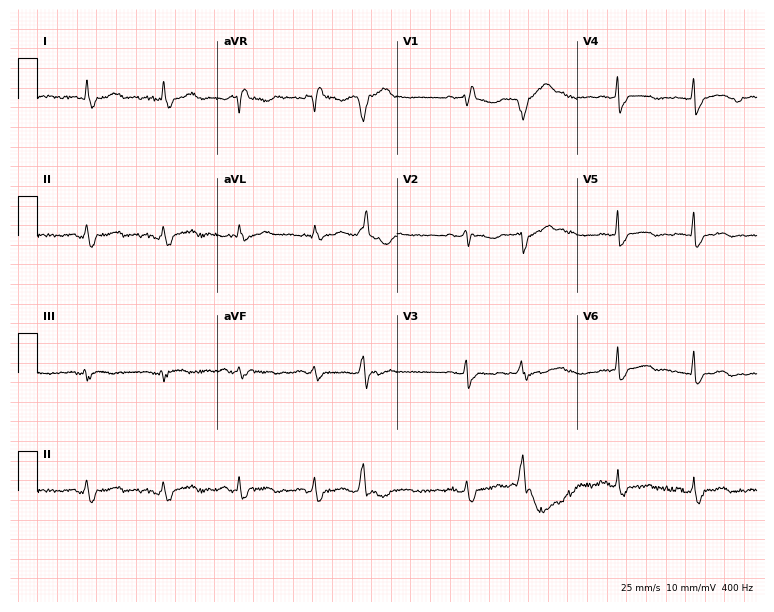
Electrocardiogram (7.3-second recording at 400 Hz), a female, 67 years old. Interpretation includes right bundle branch block (RBBB).